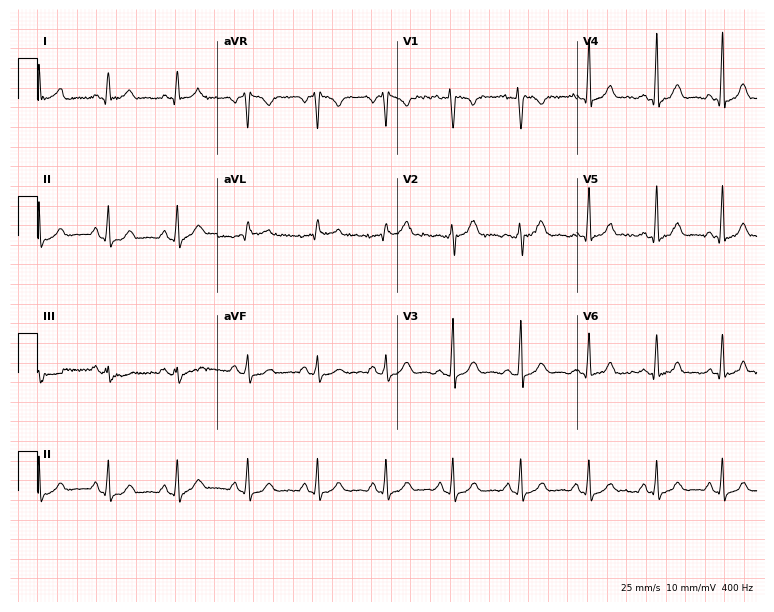
12-lead ECG from a female patient, 31 years old. Screened for six findings — first-degree AV block, right bundle branch block, left bundle branch block, sinus bradycardia, atrial fibrillation, sinus tachycardia — none is recorded. Only these six findings were labelled.